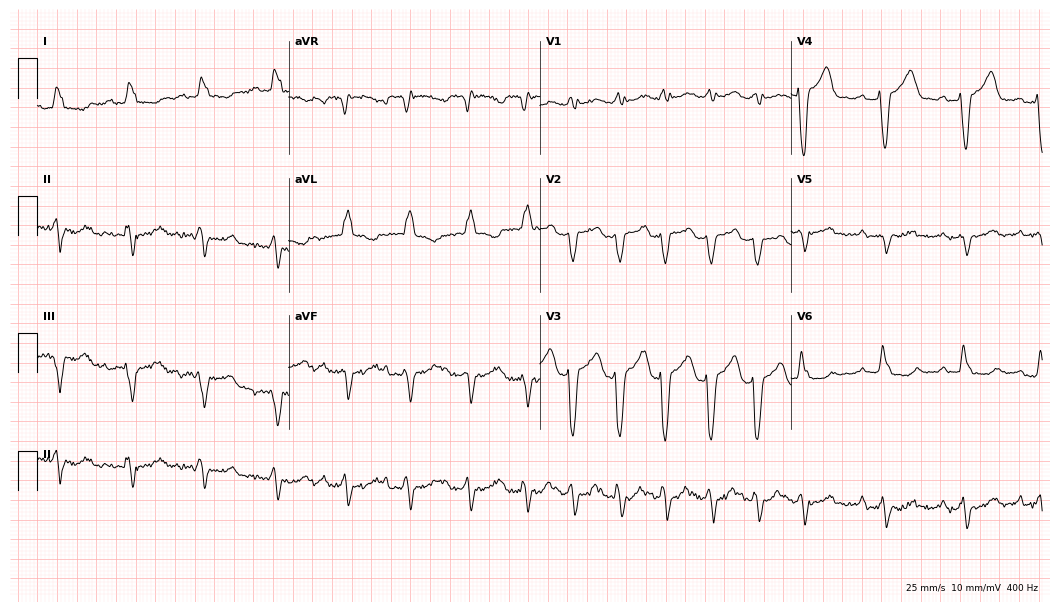
12-lead ECG (10.2-second recording at 400 Hz) from an 85-year-old female patient. Screened for six findings — first-degree AV block, right bundle branch block, left bundle branch block, sinus bradycardia, atrial fibrillation, sinus tachycardia — none is recorded.